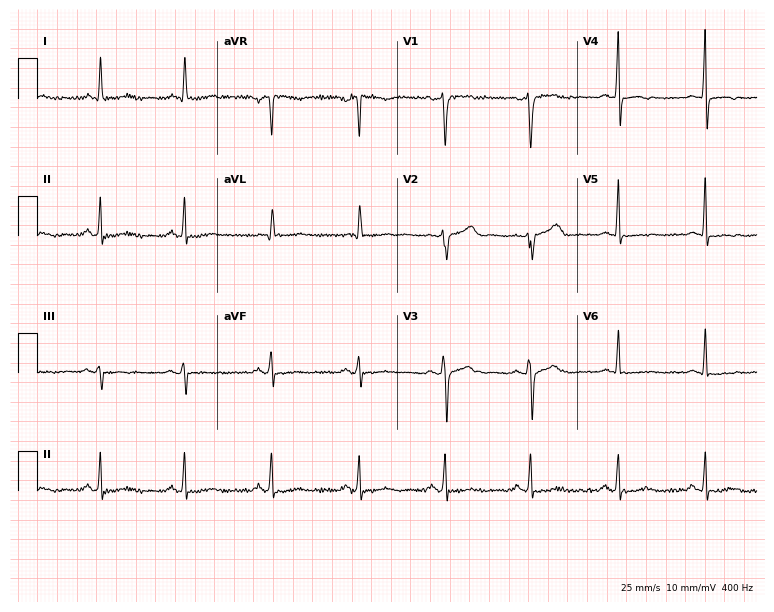
12-lead ECG (7.3-second recording at 400 Hz) from a 58-year-old female. Screened for six findings — first-degree AV block, right bundle branch block, left bundle branch block, sinus bradycardia, atrial fibrillation, sinus tachycardia — none is recorded.